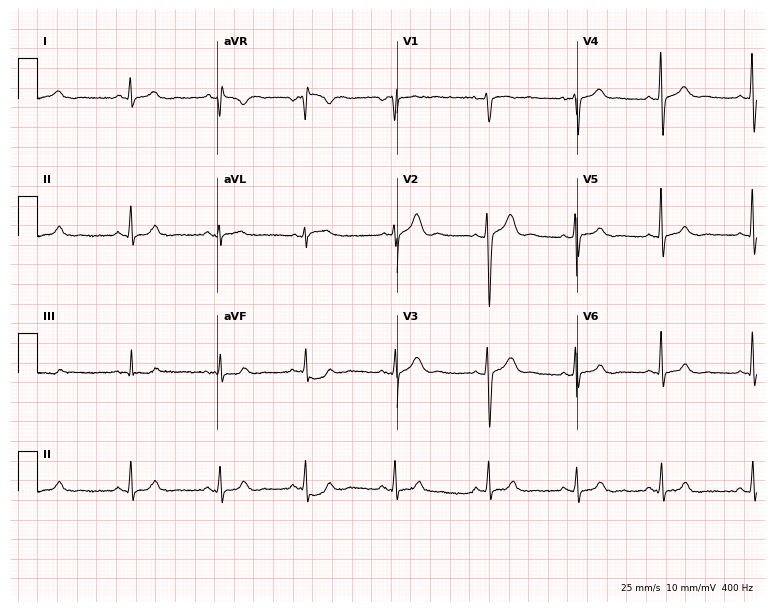
Standard 12-lead ECG recorded from a female patient, 33 years old (7.3-second recording at 400 Hz). Read as a normal ECG.